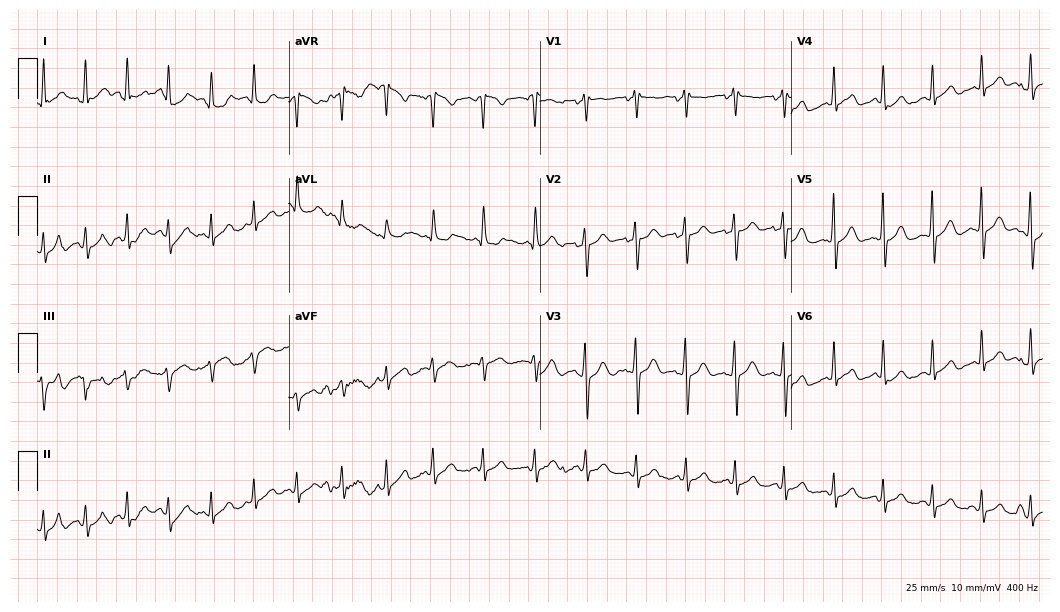
Resting 12-lead electrocardiogram. Patient: a 31-year-old man. The tracing shows sinus tachycardia (a sinus rate of 100 beats per minute or more).